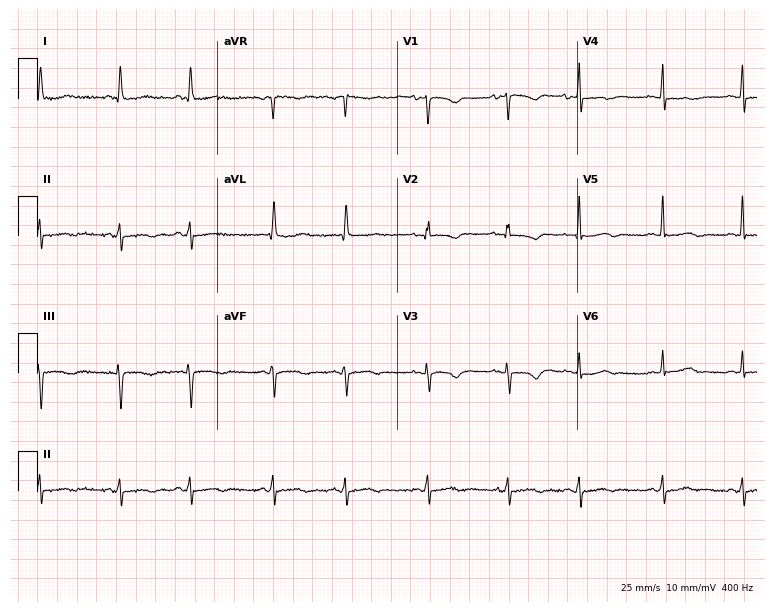
Electrocardiogram, a female, 70 years old. Of the six screened findings (first-degree AV block, right bundle branch block, left bundle branch block, sinus bradycardia, atrial fibrillation, sinus tachycardia), none is recorded. Findings outside these six are not listed.